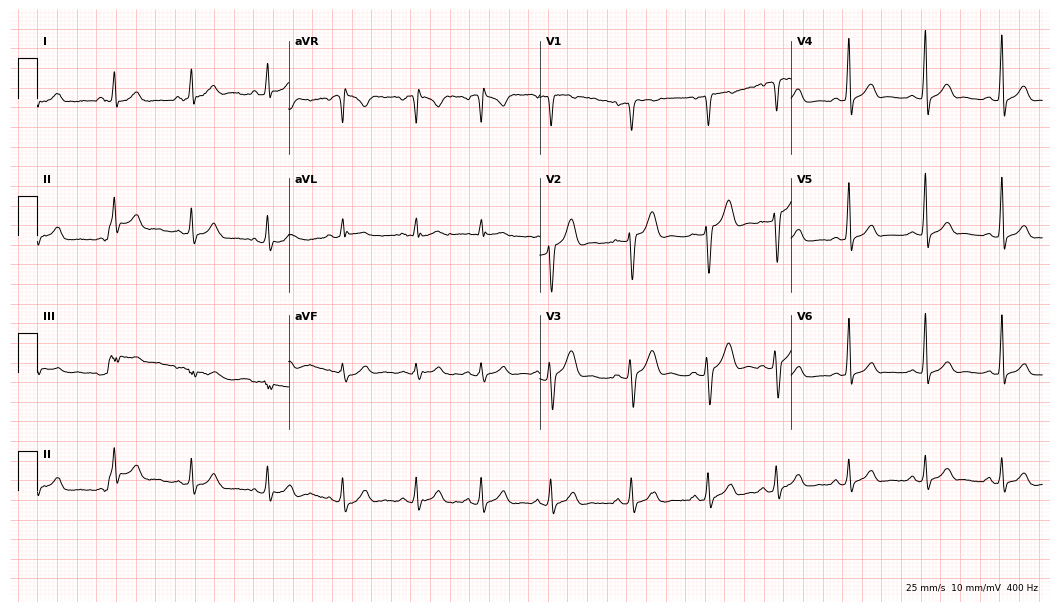
12-lead ECG from a 37-year-old man. Labelled as a normal ECG.